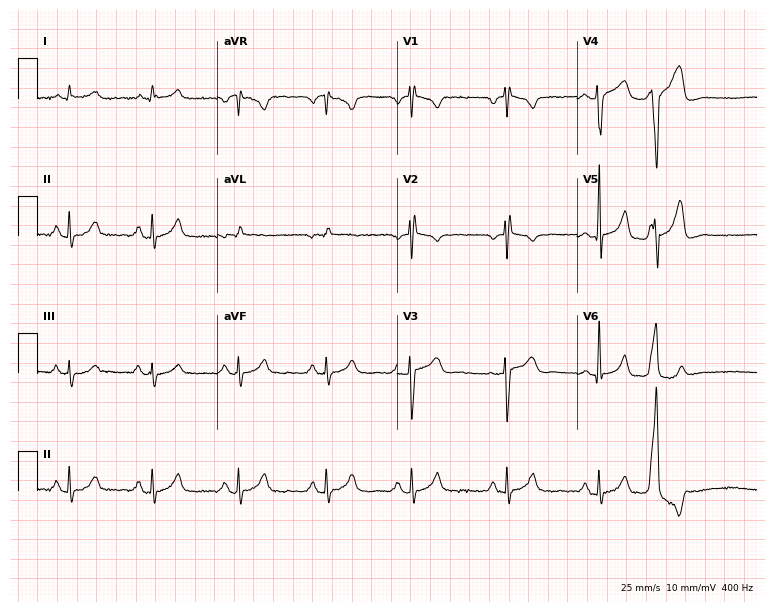
12-lead ECG (7.3-second recording at 400 Hz) from a male patient, 29 years old. Screened for six findings — first-degree AV block, right bundle branch block (RBBB), left bundle branch block (LBBB), sinus bradycardia, atrial fibrillation (AF), sinus tachycardia — none is recorded. Findings outside these six are not listed.